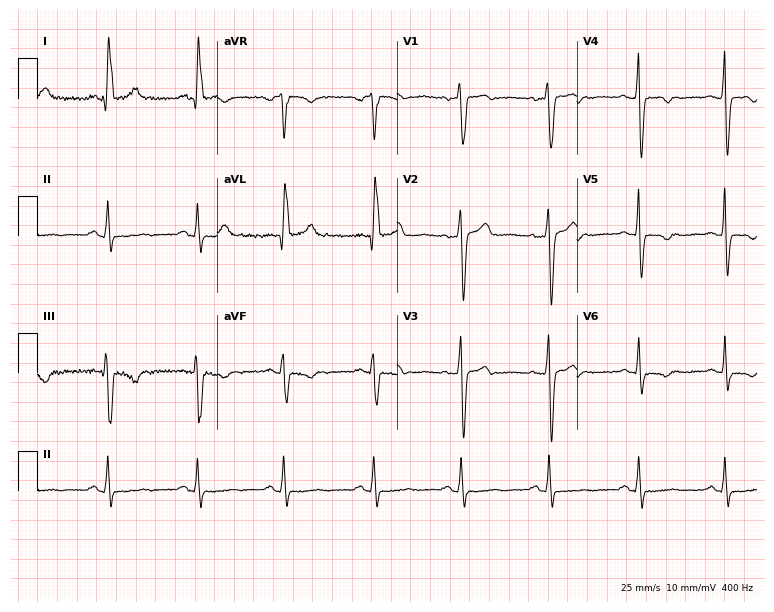
12-lead ECG from a 49-year-old female patient. No first-degree AV block, right bundle branch block (RBBB), left bundle branch block (LBBB), sinus bradycardia, atrial fibrillation (AF) or sinus tachycardia recorded for this tracing.